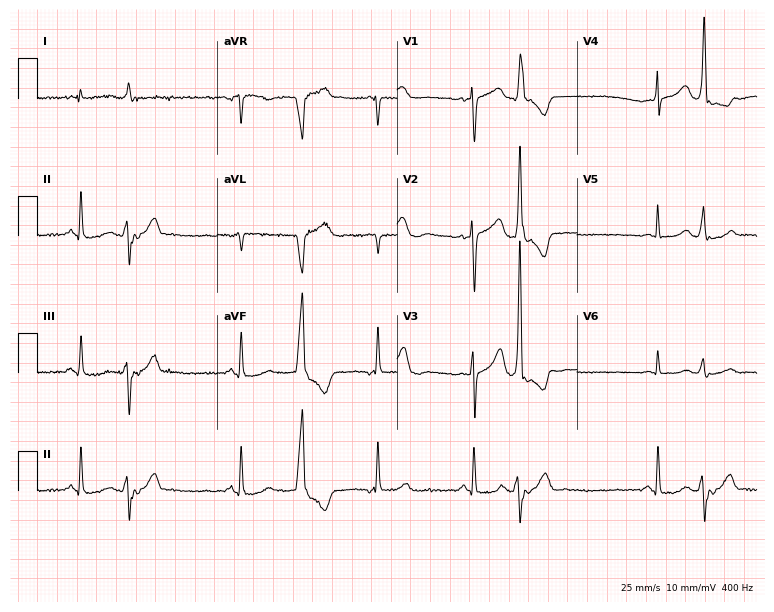
12-lead ECG from an 82-year-old male. No first-degree AV block, right bundle branch block (RBBB), left bundle branch block (LBBB), sinus bradycardia, atrial fibrillation (AF) or sinus tachycardia recorded for this tracing. Only these six findings were labelled.